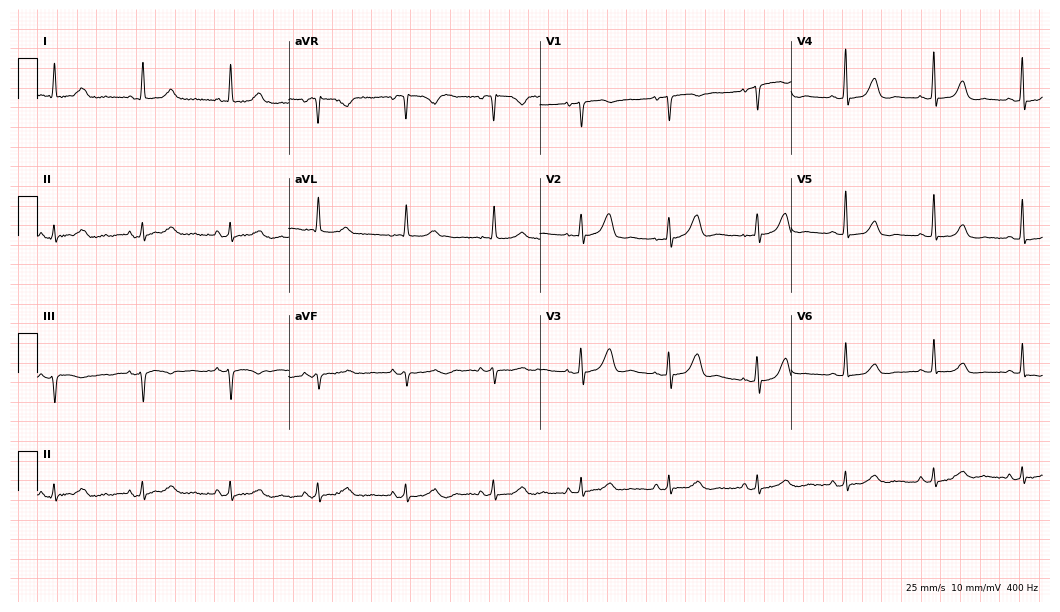
Electrocardiogram, a 78-year-old woman. Of the six screened findings (first-degree AV block, right bundle branch block (RBBB), left bundle branch block (LBBB), sinus bradycardia, atrial fibrillation (AF), sinus tachycardia), none is recorded. Only these six findings were labelled.